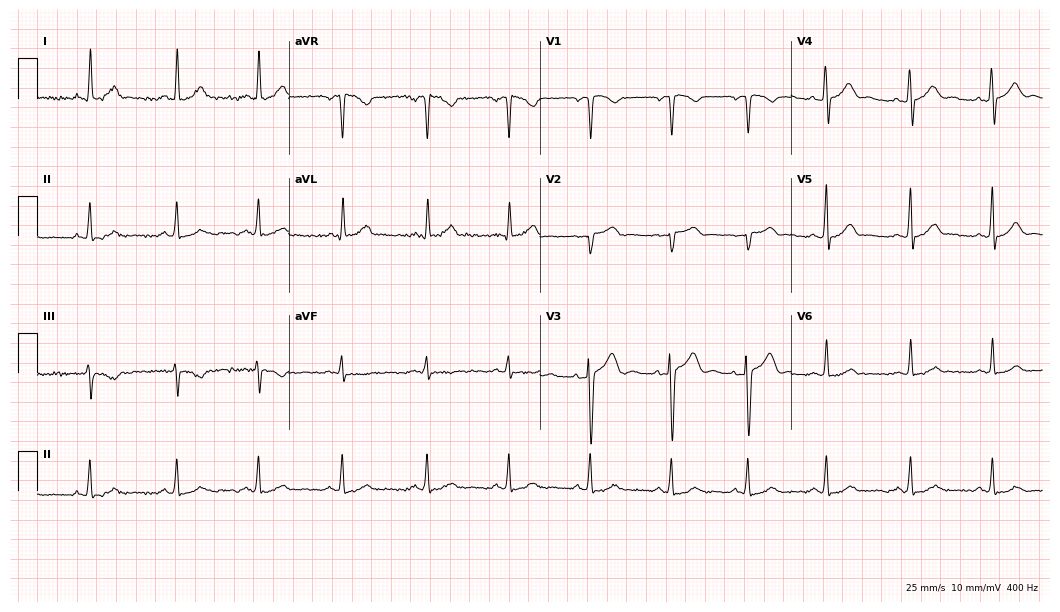
Standard 12-lead ECG recorded from a 28-year-old female patient. Read as a normal ECG.